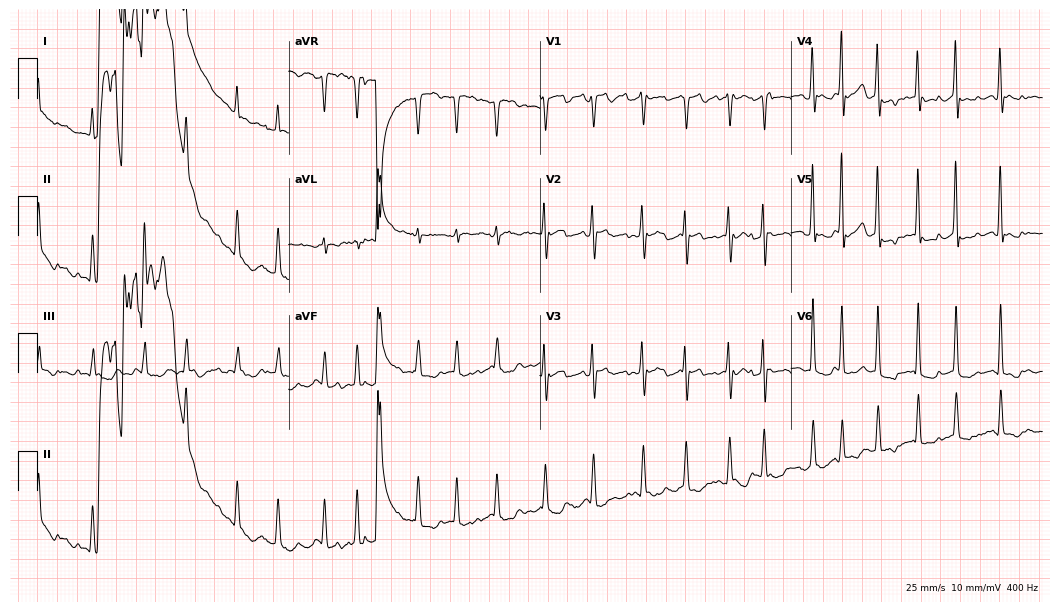
Resting 12-lead electrocardiogram. Patient: a female, 65 years old. The tracing shows atrial fibrillation (AF), sinus tachycardia (a sinus rate of 100 beats per minute or more).